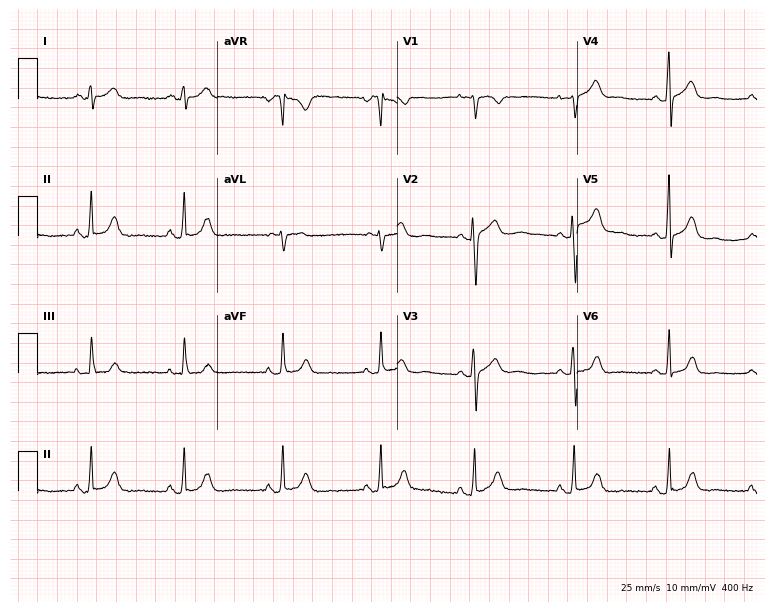
Resting 12-lead electrocardiogram (7.3-second recording at 400 Hz). Patient: a 29-year-old female. None of these six findings is recorded: first-degree AV block, right bundle branch block (RBBB), left bundle branch block (LBBB), sinus bradycardia, atrial fibrillation (AF), sinus tachycardia. Only these six findings were labelled.